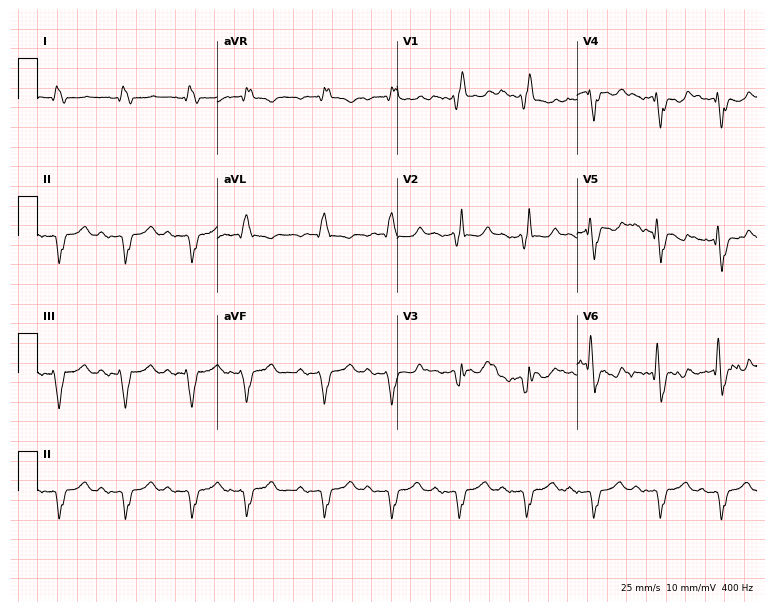
Electrocardiogram (7.3-second recording at 400 Hz), a 68-year-old man. Interpretation includes first-degree AV block, right bundle branch block (RBBB).